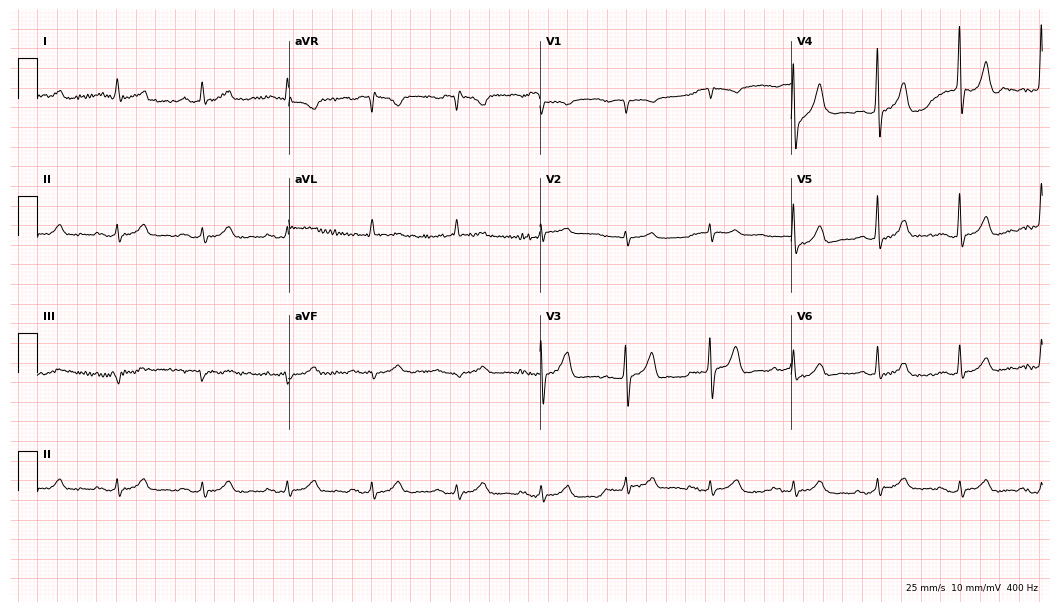
12-lead ECG (10.2-second recording at 400 Hz) from a 73-year-old male. Screened for six findings — first-degree AV block, right bundle branch block, left bundle branch block, sinus bradycardia, atrial fibrillation, sinus tachycardia — none is recorded. Only these six findings were labelled.